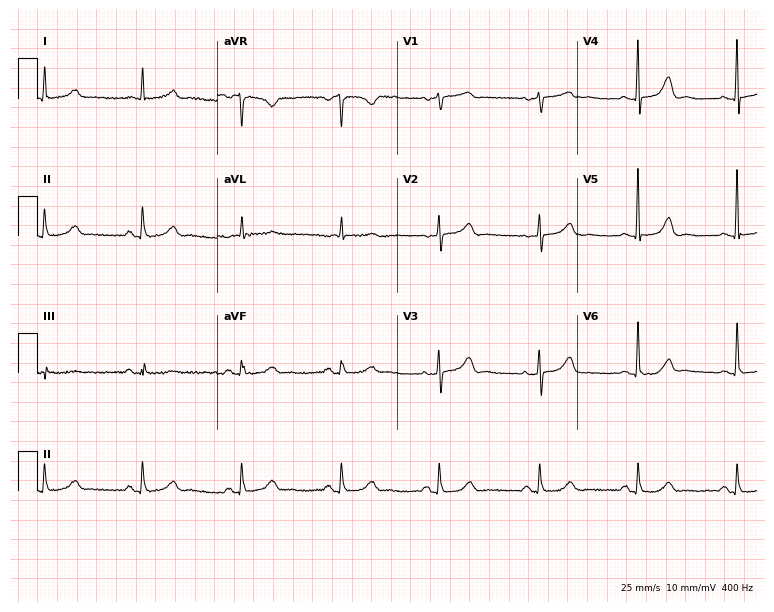
12-lead ECG from an 81-year-old female patient (7.3-second recording at 400 Hz). No first-degree AV block, right bundle branch block, left bundle branch block, sinus bradycardia, atrial fibrillation or sinus tachycardia recorded for this tracing. Other findings, if any, are not listed.